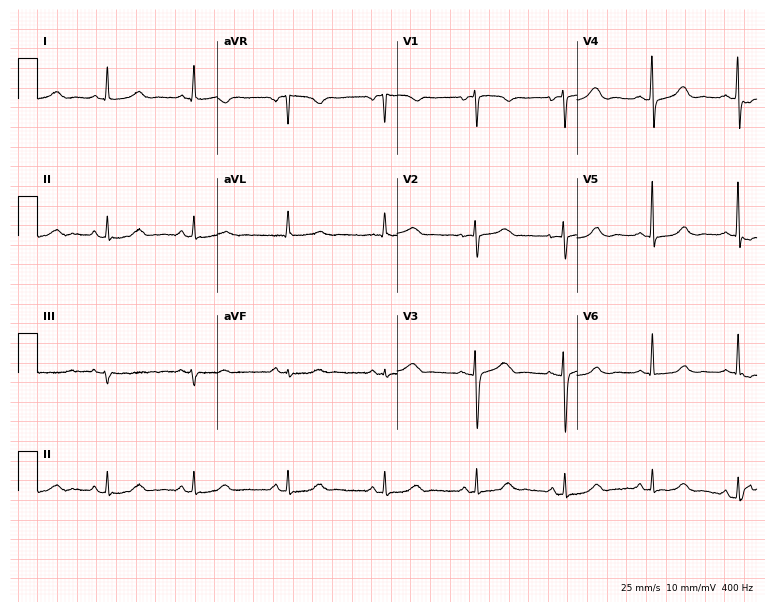
12-lead ECG (7.3-second recording at 400 Hz) from a female, 63 years old. Screened for six findings — first-degree AV block, right bundle branch block, left bundle branch block, sinus bradycardia, atrial fibrillation, sinus tachycardia — none is recorded.